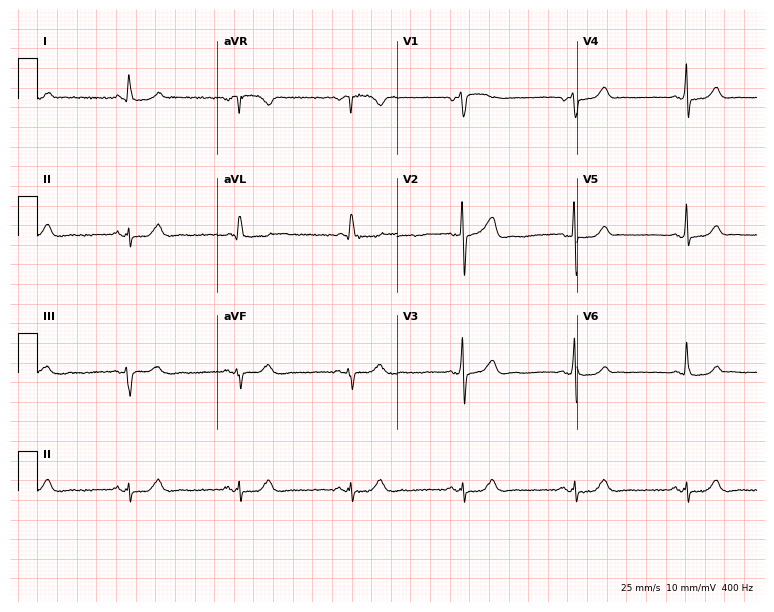
12-lead ECG from a male patient, 77 years old. No first-degree AV block, right bundle branch block (RBBB), left bundle branch block (LBBB), sinus bradycardia, atrial fibrillation (AF) or sinus tachycardia recorded for this tracing.